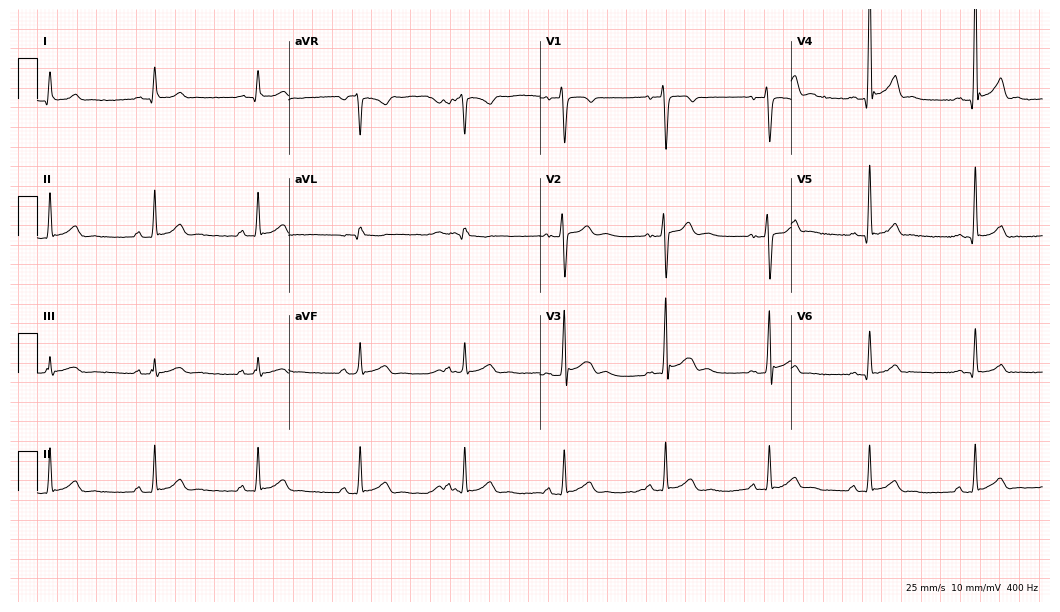
12-lead ECG from a man, 20 years old. Recorded interpretation: within normal limits.